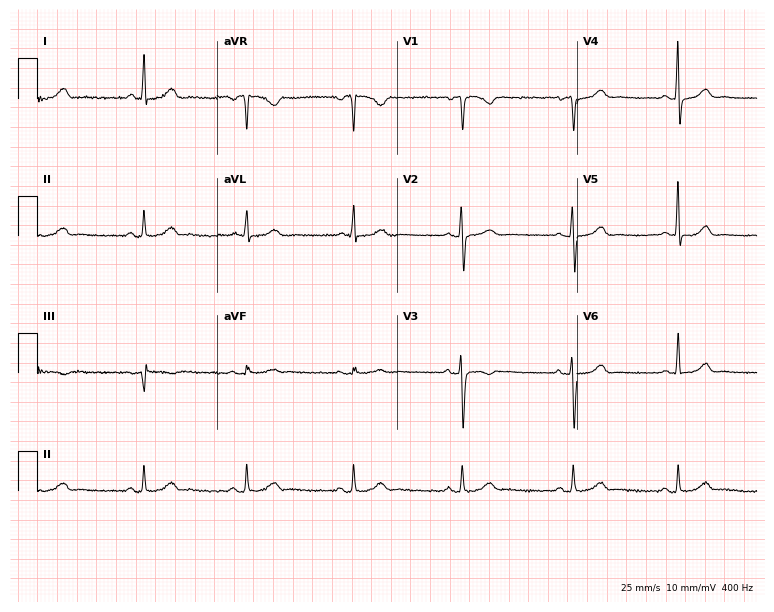
ECG — a 40-year-old woman. Labelled as a normal ECG.